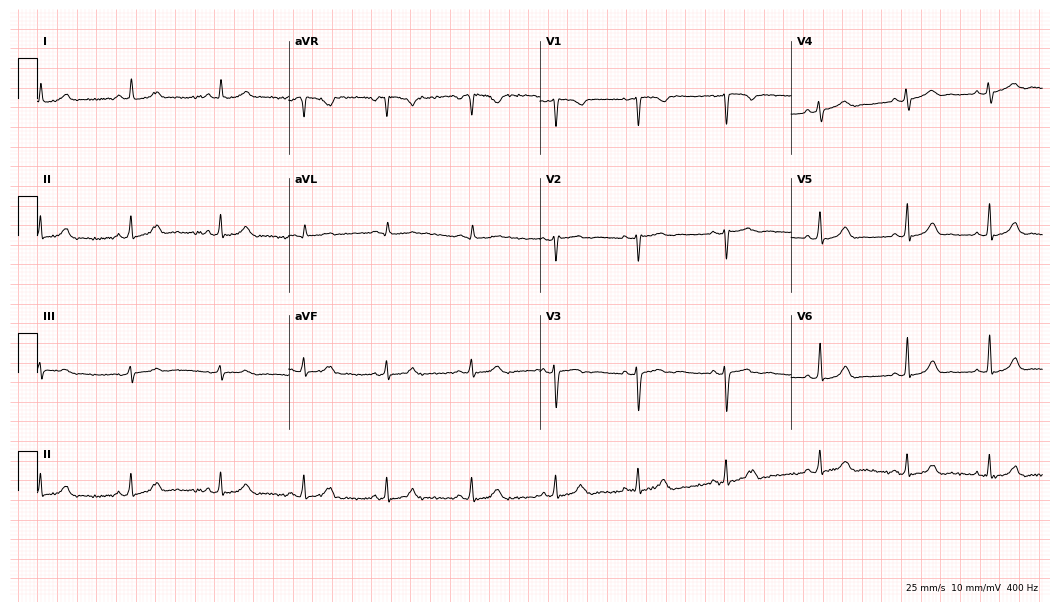
12-lead ECG from a woman, 28 years old (10.2-second recording at 400 Hz). No first-degree AV block, right bundle branch block (RBBB), left bundle branch block (LBBB), sinus bradycardia, atrial fibrillation (AF) or sinus tachycardia recorded for this tracing.